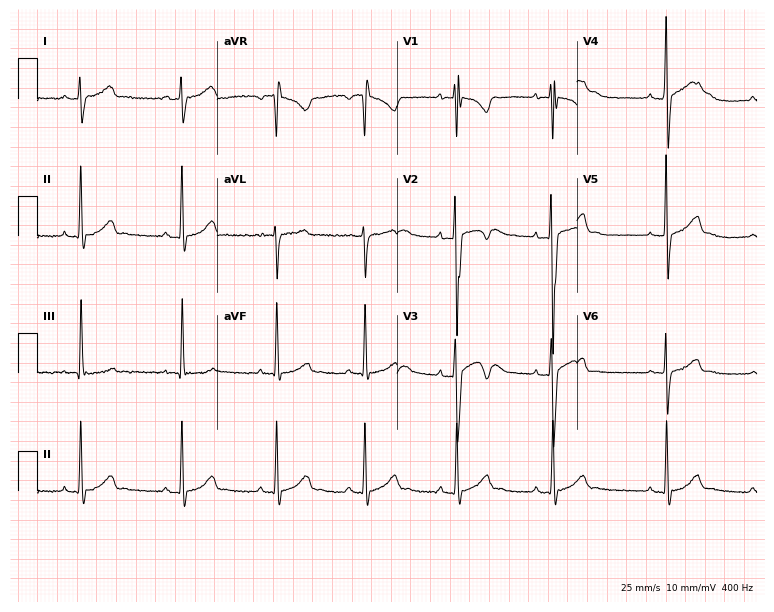
Standard 12-lead ECG recorded from a man, 19 years old (7.3-second recording at 400 Hz). None of these six findings is recorded: first-degree AV block, right bundle branch block, left bundle branch block, sinus bradycardia, atrial fibrillation, sinus tachycardia.